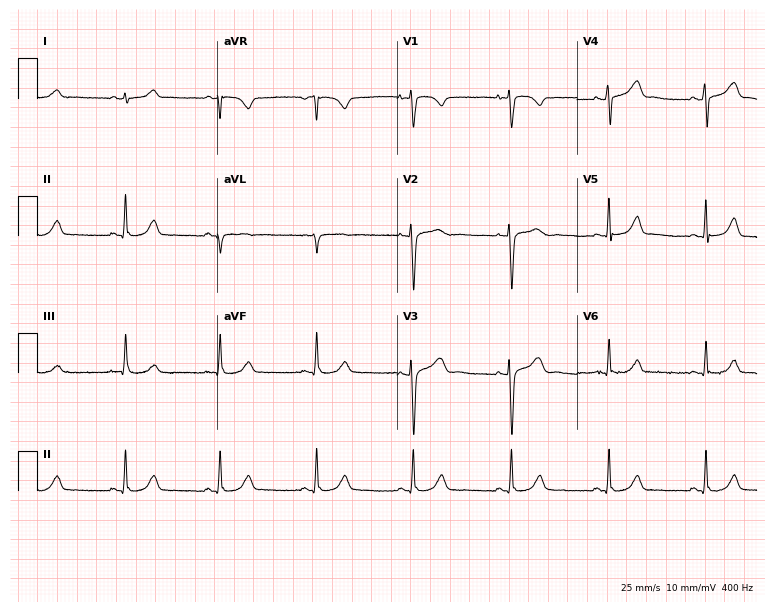
ECG (7.3-second recording at 400 Hz) — a woman, 26 years old. Screened for six findings — first-degree AV block, right bundle branch block (RBBB), left bundle branch block (LBBB), sinus bradycardia, atrial fibrillation (AF), sinus tachycardia — none is recorded.